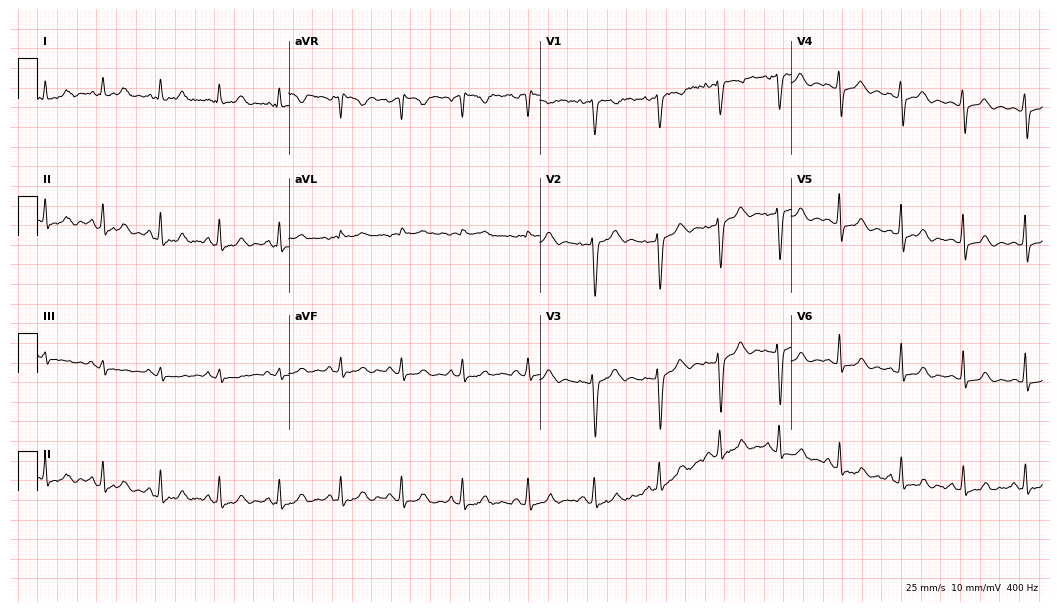
12-lead ECG (10.2-second recording at 400 Hz) from a 33-year-old female patient. Labelled as a normal ECG.